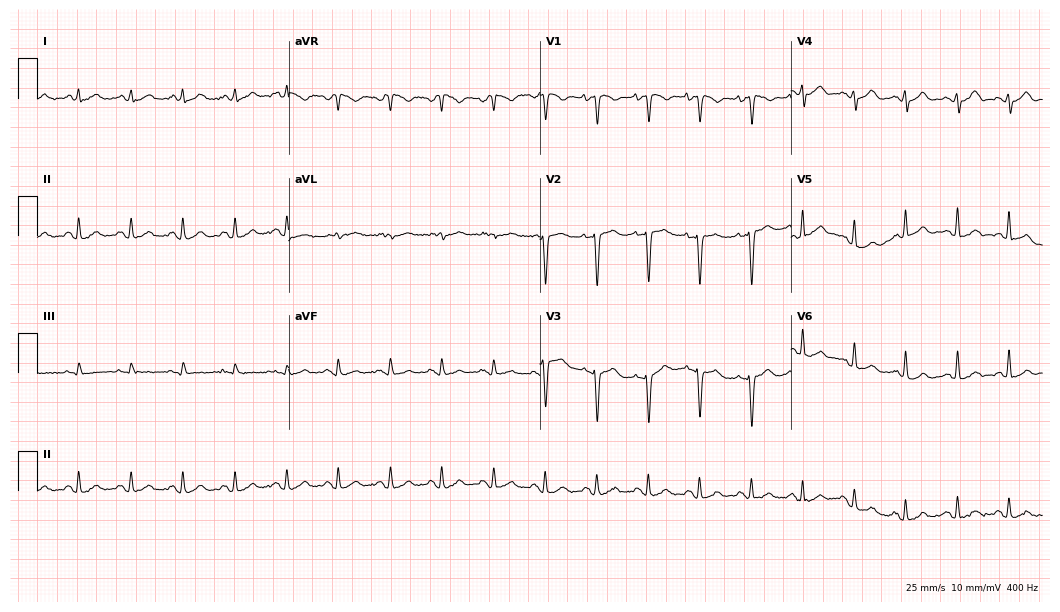
Resting 12-lead electrocardiogram (10.2-second recording at 400 Hz). Patient: a female, 50 years old. The tracing shows sinus tachycardia (a sinus rate of 100 beats per minute or more).